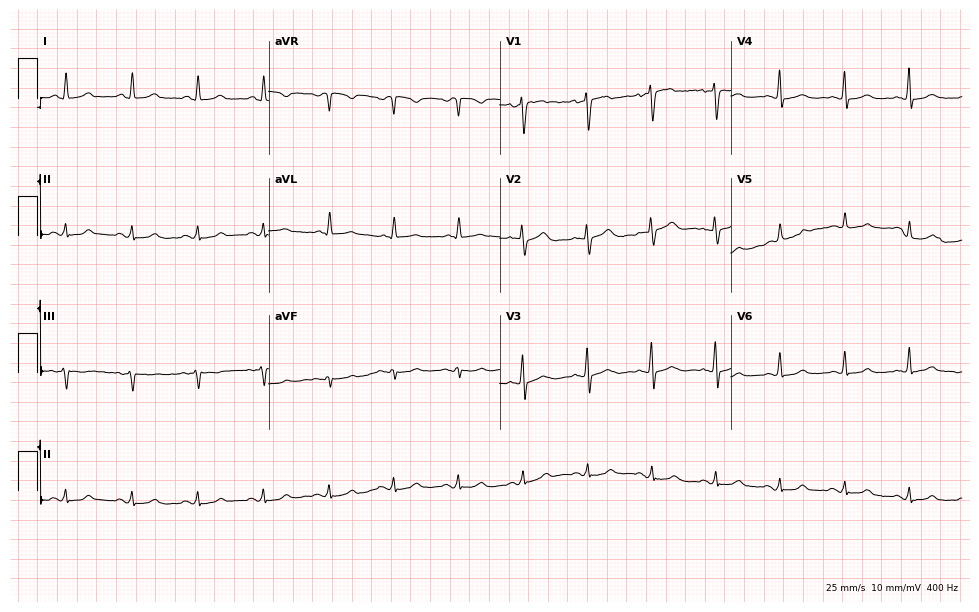
ECG — a woman, 49 years old. Labelled as a normal ECG.